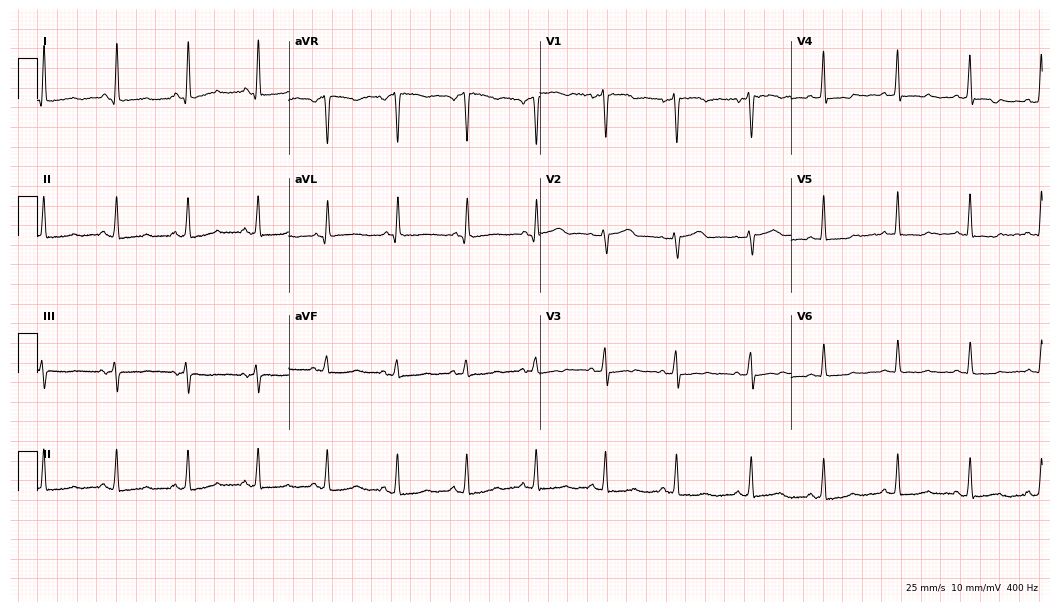
12-lead ECG from a 57-year-old woman (10.2-second recording at 400 Hz). No first-degree AV block, right bundle branch block, left bundle branch block, sinus bradycardia, atrial fibrillation or sinus tachycardia recorded for this tracing. Only these six findings were labelled.